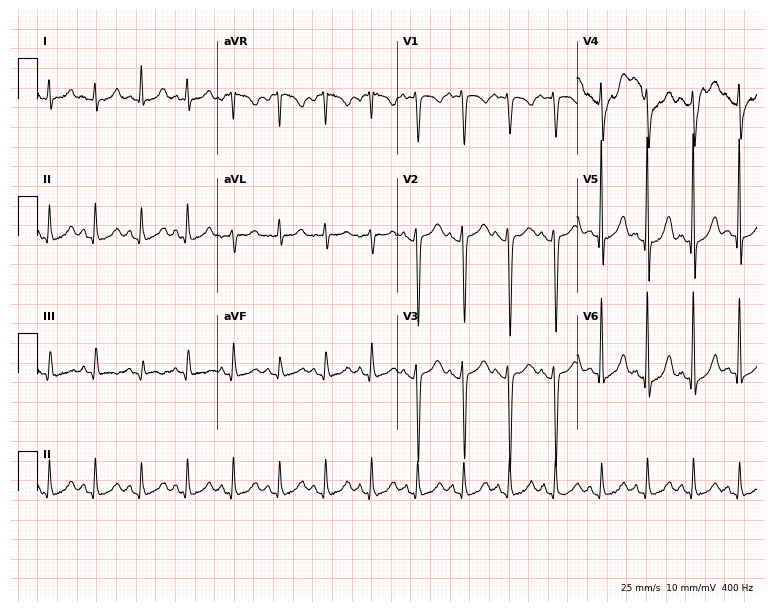
12-lead ECG from a woman, 41 years old. No first-degree AV block, right bundle branch block (RBBB), left bundle branch block (LBBB), sinus bradycardia, atrial fibrillation (AF) or sinus tachycardia recorded for this tracing.